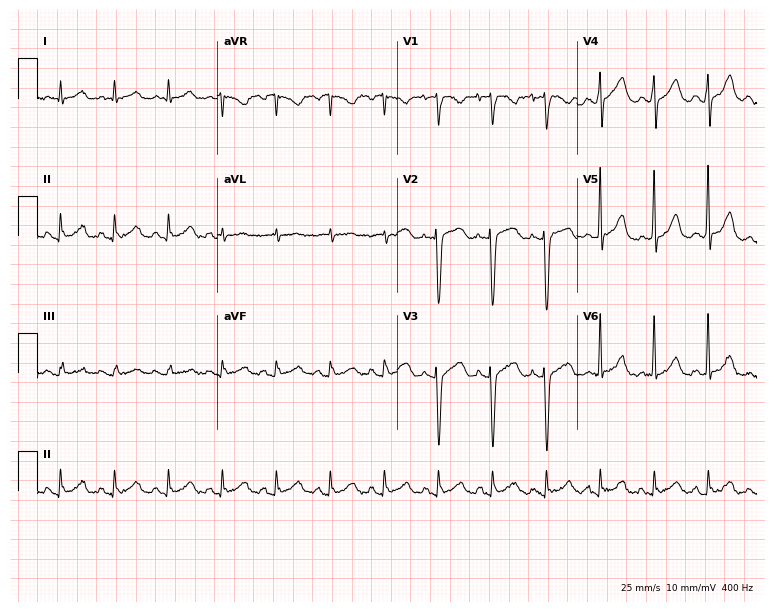
ECG (7.3-second recording at 400 Hz) — a female, 79 years old. Findings include sinus tachycardia (a sinus rate of 100 beats per minute or more).